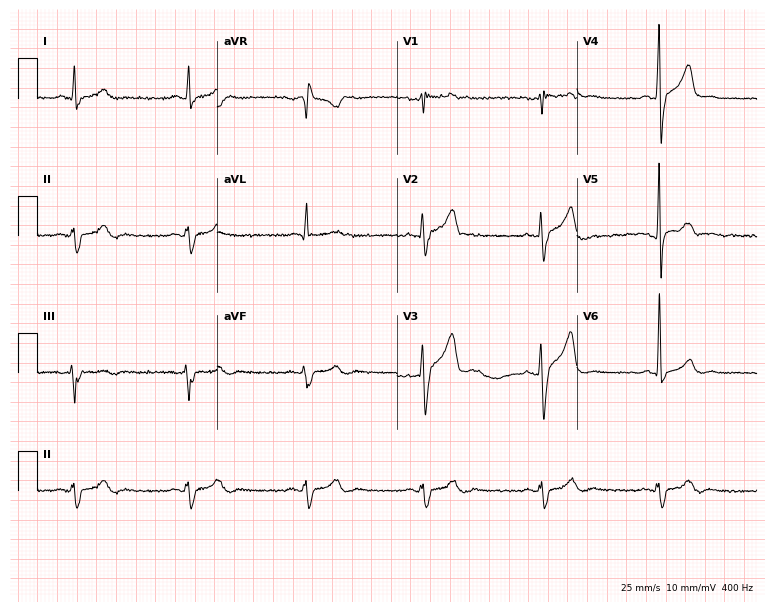
12-lead ECG (7.3-second recording at 400 Hz) from a 54-year-old male. Findings include sinus bradycardia (a sinus rate of 50 beats per minute or less).